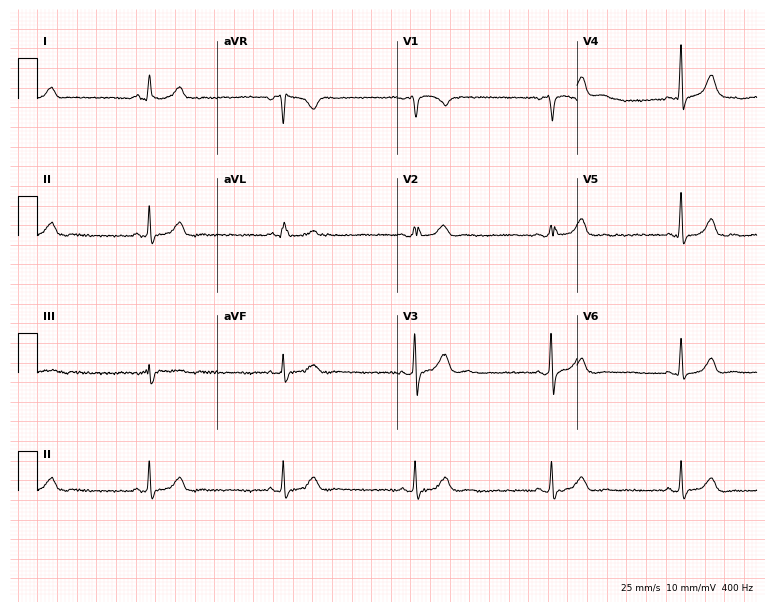
Electrocardiogram, a 41-year-old female patient. Of the six screened findings (first-degree AV block, right bundle branch block, left bundle branch block, sinus bradycardia, atrial fibrillation, sinus tachycardia), none is recorded.